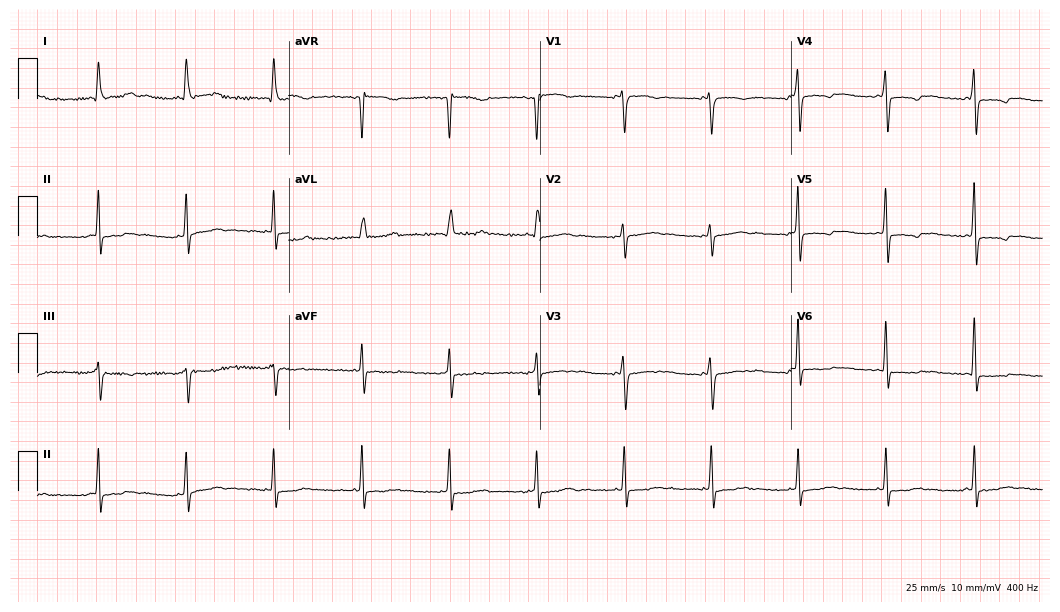
12-lead ECG from a female patient, 55 years old. No first-degree AV block, right bundle branch block, left bundle branch block, sinus bradycardia, atrial fibrillation or sinus tachycardia recorded for this tracing. Other findings, if any, are not listed.